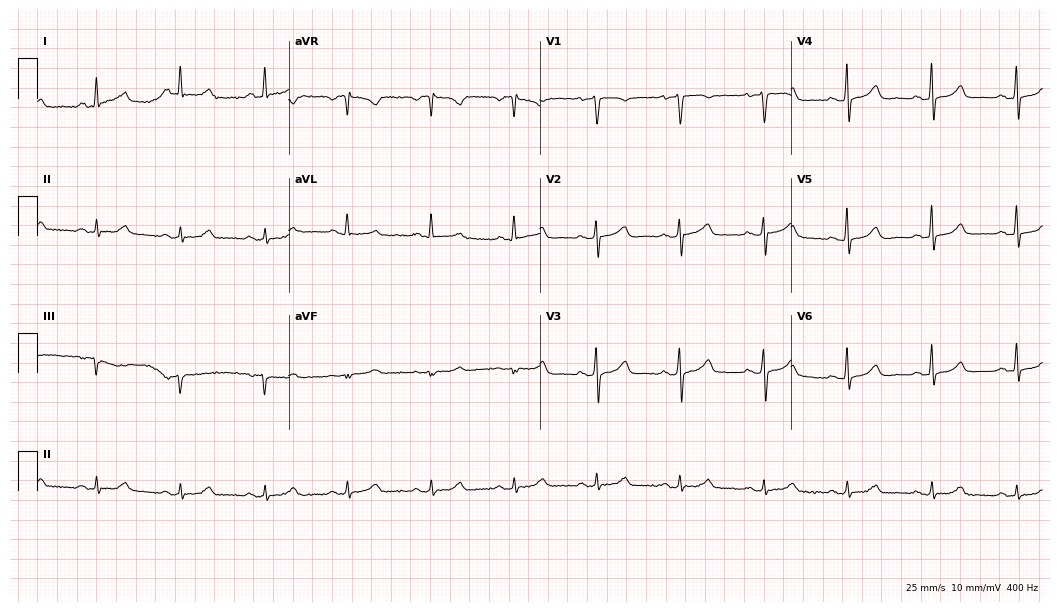
12-lead ECG from a female patient, 60 years old. Labelled as a normal ECG.